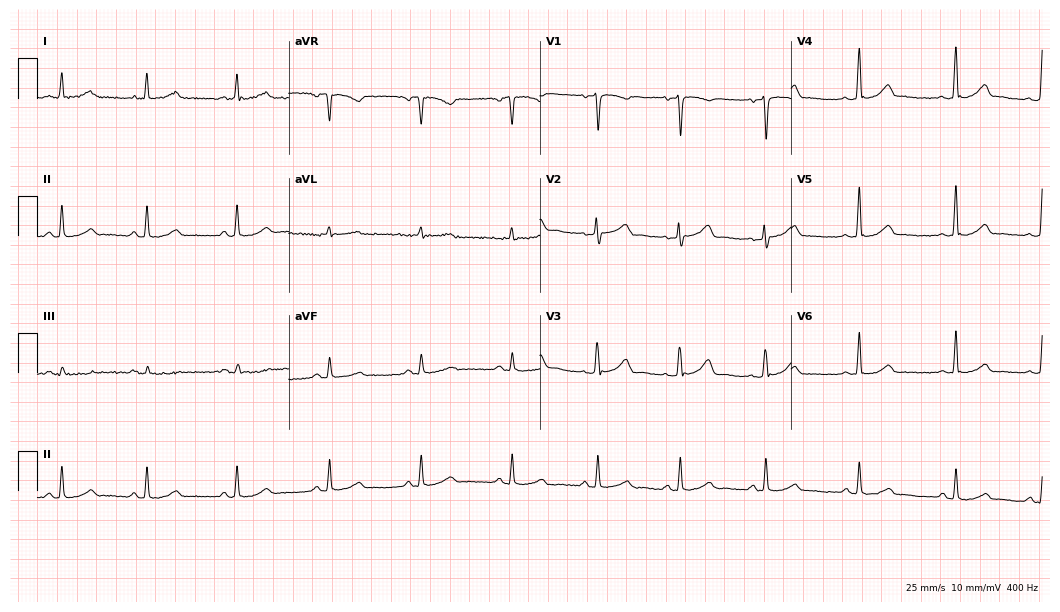
ECG (10.2-second recording at 400 Hz) — a female patient, 42 years old. Labelled as a normal ECG.